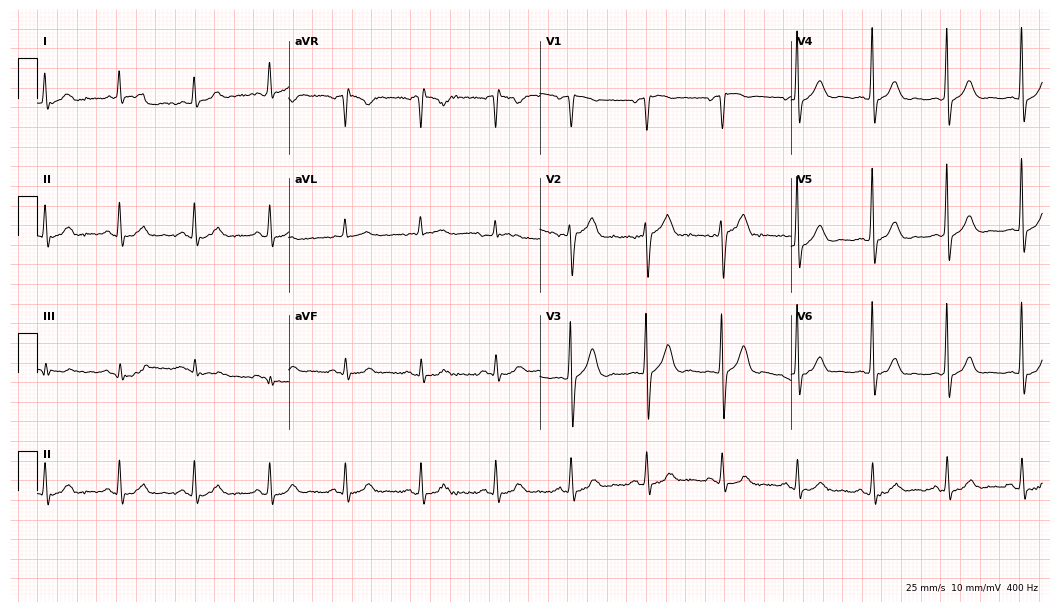
Standard 12-lead ECG recorded from a man, 74 years old. None of these six findings is recorded: first-degree AV block, right bundle branch block, left bundle branch block, sinus bradycardia, atrial fibrillation, sinus tachycardia.